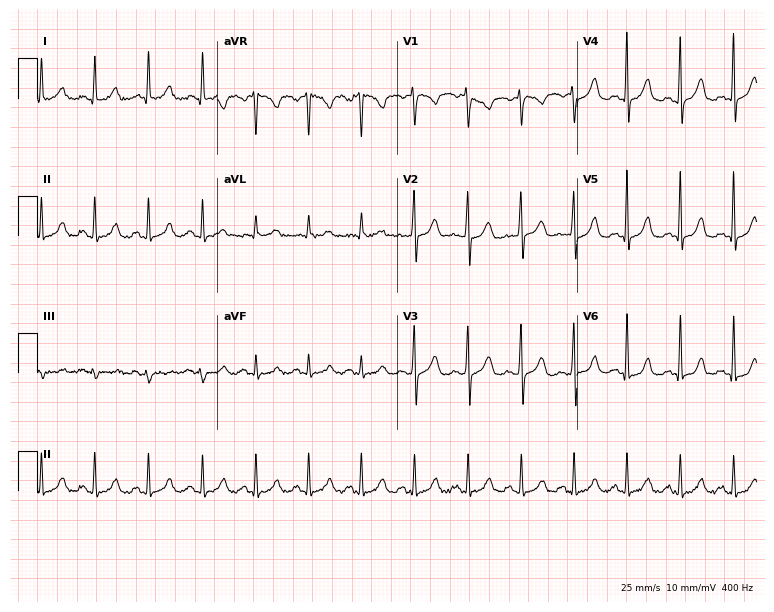
12-lead ECG from a female, 38 years old. Findings include sinus tachycardia (a sinus rate of 100 beats per minute or more).